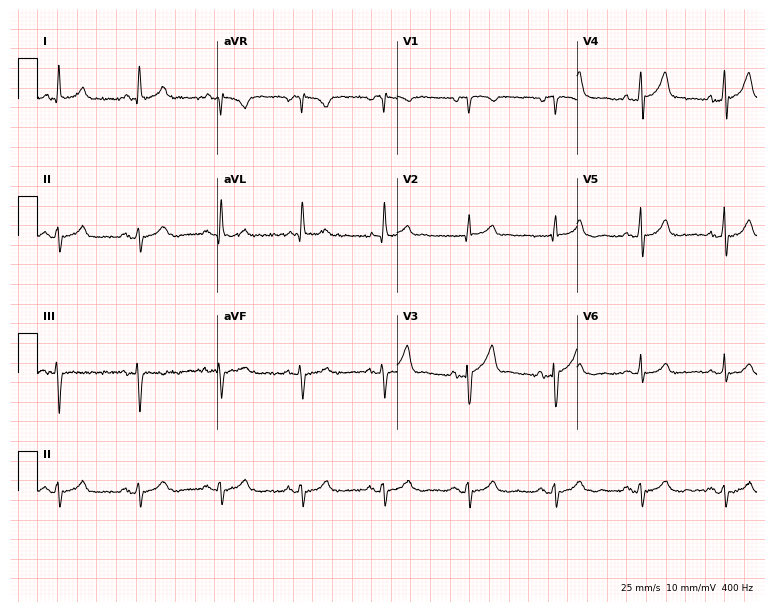
Resting 12-lead electrocardiogram. Patient: a 77-year-old man. Read as a normal ECG.